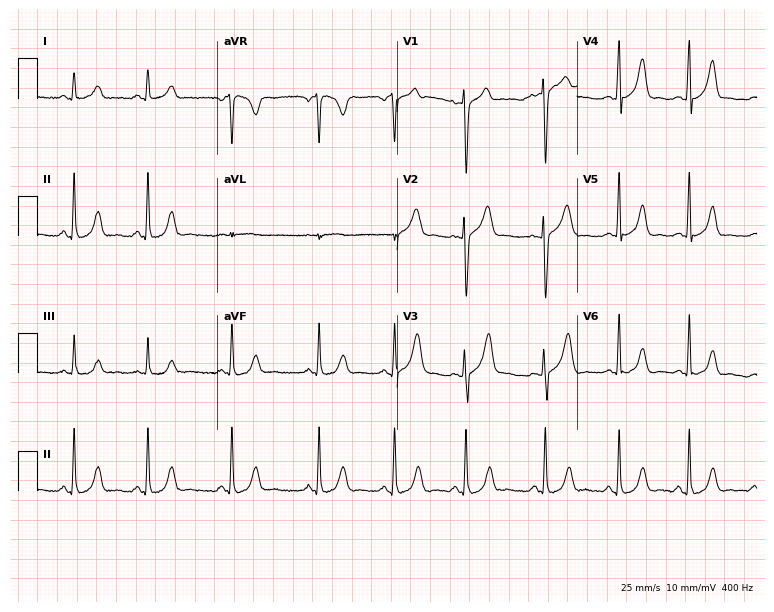
12-lead ECG (7.3-second recording at 400 Hz) from a female patient, 19 years old. Labelled as a normal ECG.